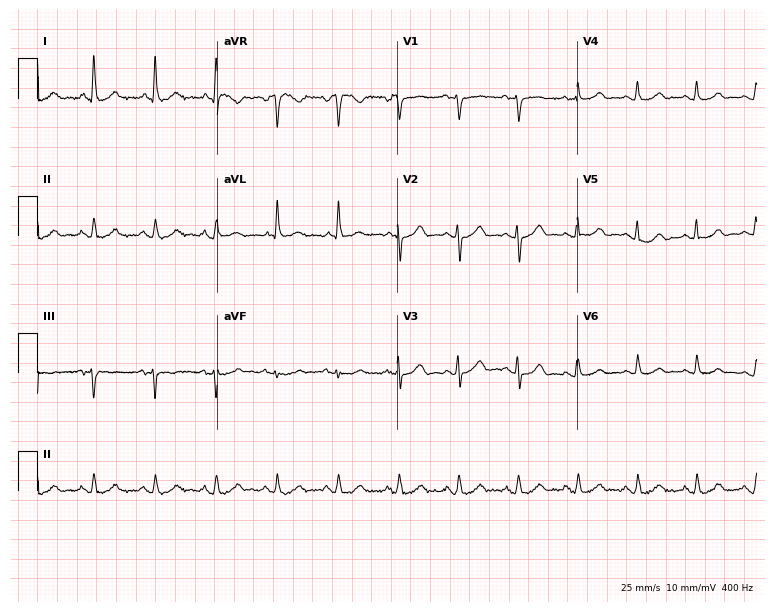
Standard 12-lead ECG recorded from a male, 70 years old (7.3-second recording at 400 Hz). Read as a normal ECG.